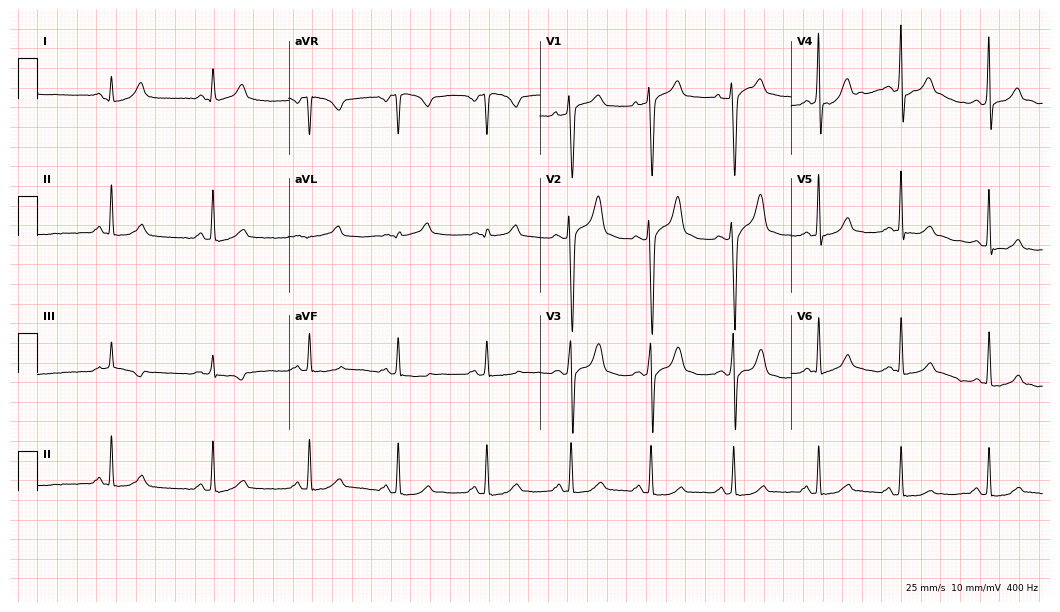
12-lead ECG from a man, 52 years old. Labelled as a normal ECG.